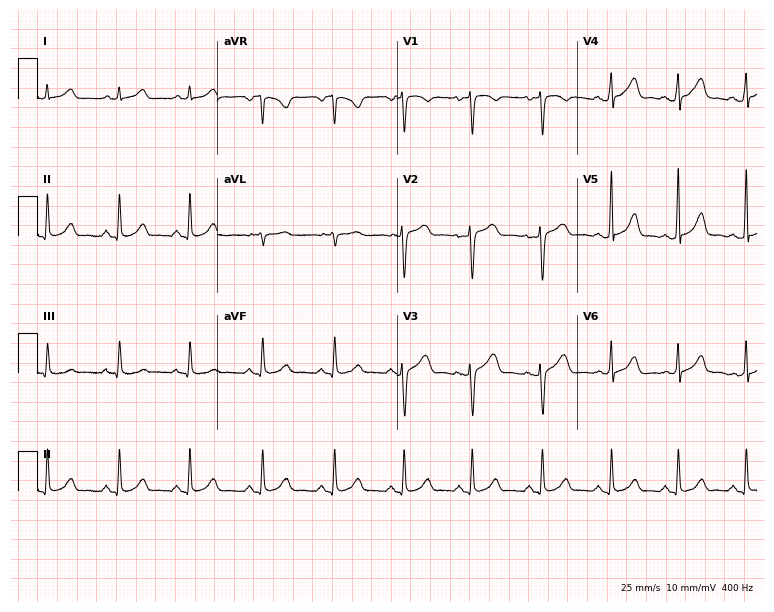
12-lead ECG from a woman, 34 years old (7.3-second recording at 400 Hz). Recorded interpretation: within normal limits.